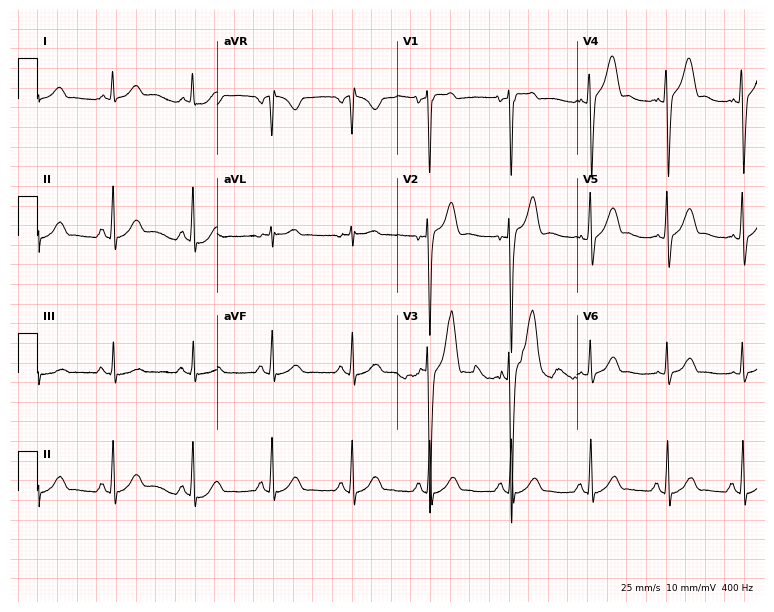
ECG (7.3-second recording at 400 Hz) — a male patient, 37 years old. Labelled as a normal ECG.